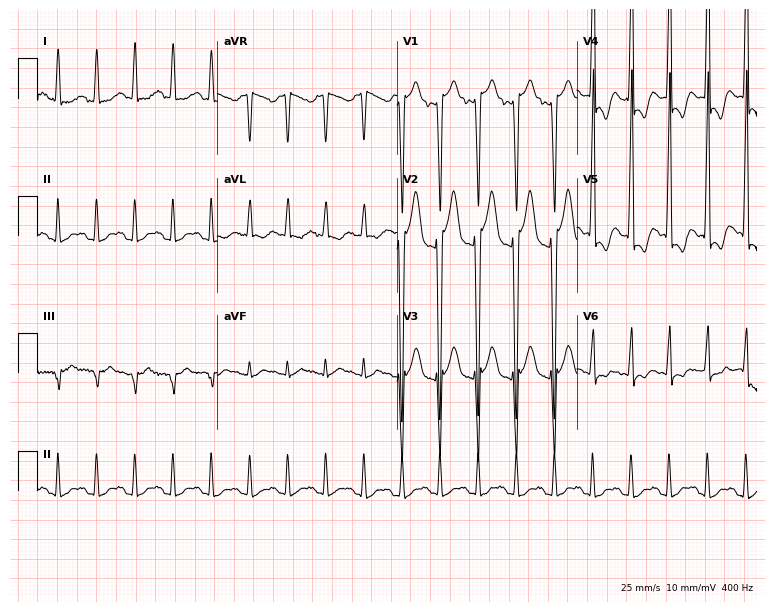
Resting 12-lead electrocardiogram. Patient: a 31-year-old man. None of these six findings is recorded: first-degree AV block, right bundle branch block, left bundle branch block, sinus bradycardia, atrial fibrillation, sinus tachycardia.